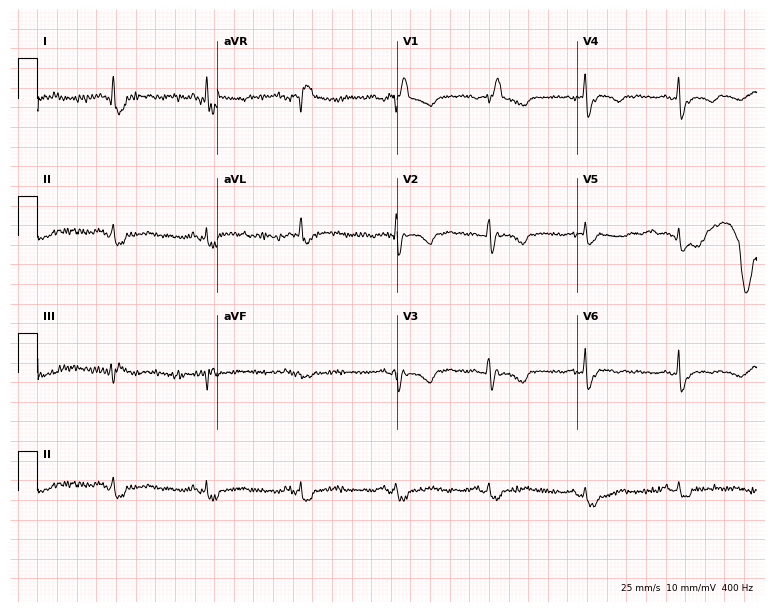
Standard 12-lead ECG recorded from a 62-year-old woman. None of these six findings is recorded: first-degree AV block, right bundle branch block, left bundle branch block, sinus bradycardia, atrial fibrillation, sinus tachycardia.